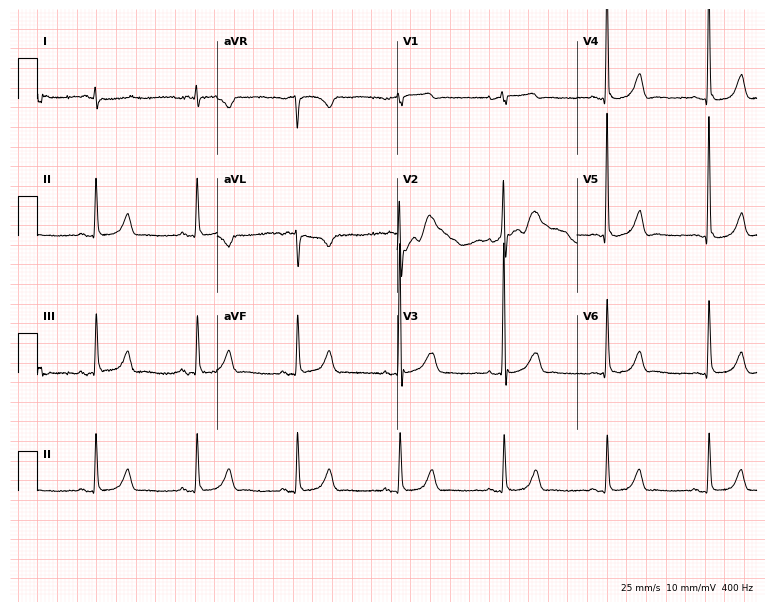
12-lead ECG from a male patient, 84 years old (7.3-second recording at 400 Hz). No first-degree AV block, right bundle branch block, left bundle branch block, sinus bradycardia, atrial fibrillation or sinus tachycardia recorded for this tracing.